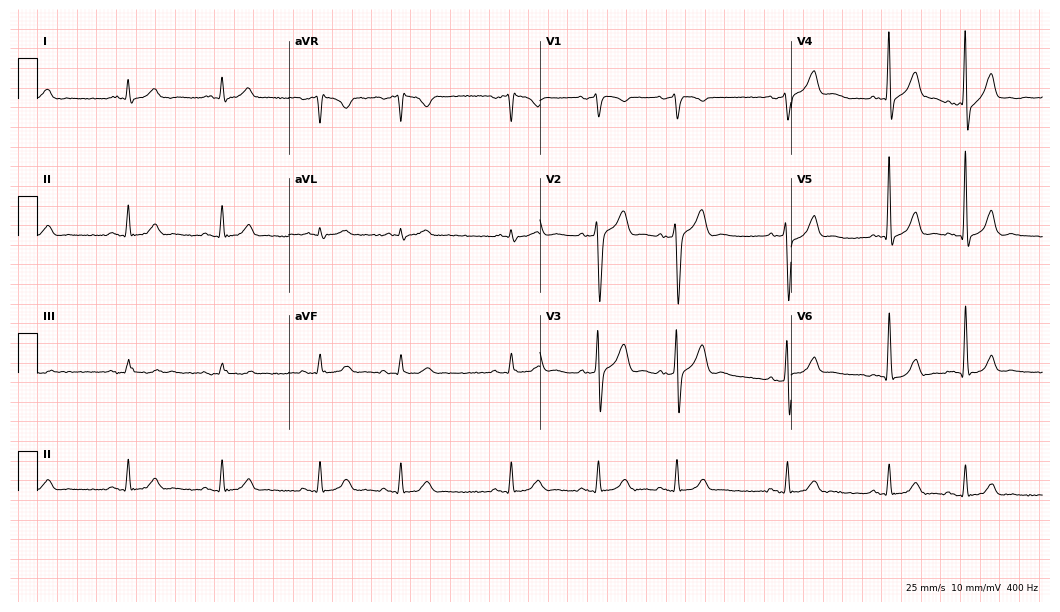
12-lead ECG from a man, 57 years old (10.2-second recording at 400 Hz). Recorded interpretation: within normal limits.